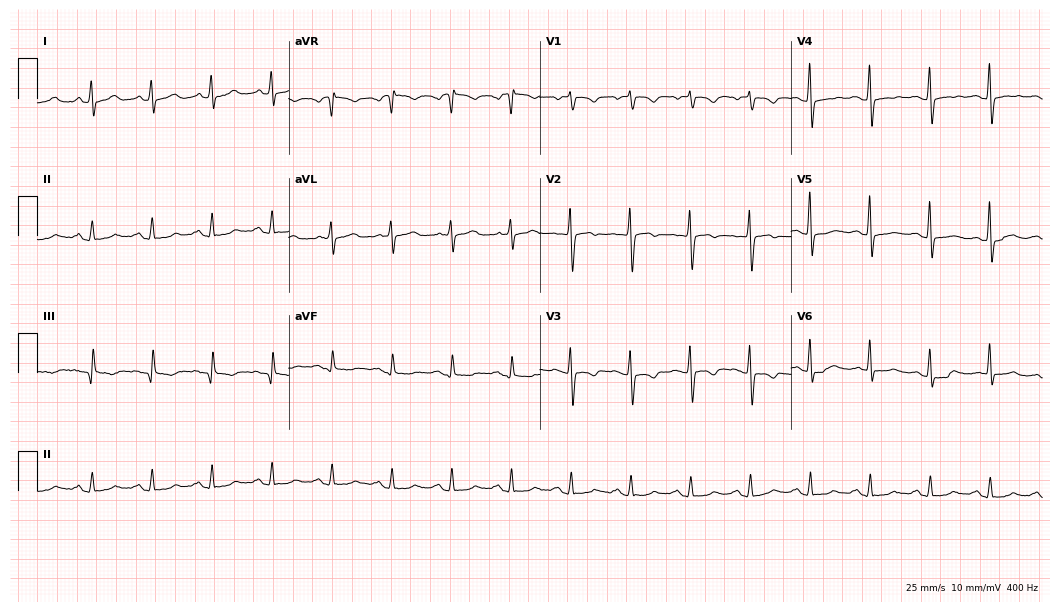
Electrocardiogram, a 60-year-old female. Of the six screened findings (first-degree AV block, right bundle branch block (RBBB), left bundle branch block (LBBB), sinus bradycardia, atrial fibrillation (AF), sinus tachycardia), none is recorded. Findings outside these six are not listed.